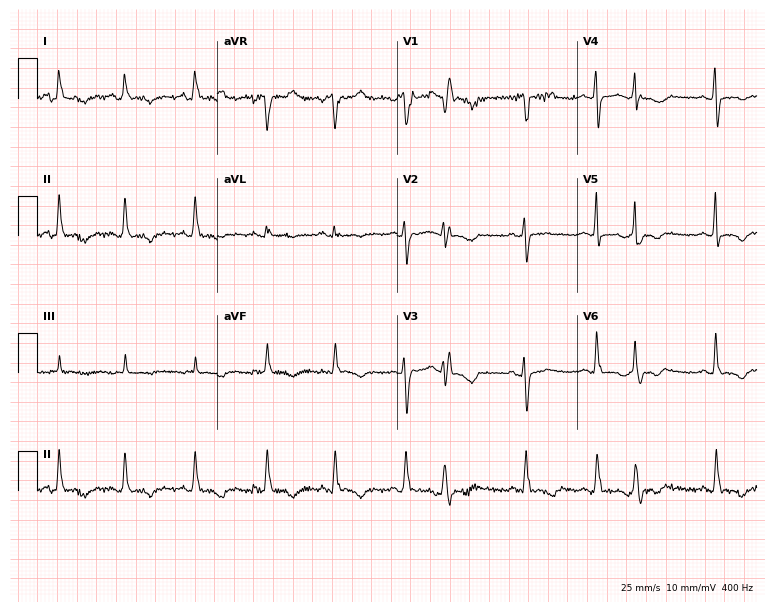
Electrocardiogram (7.3-second recording at 400 Hz), a woman, 50 years old. Of the six screened findings (first-degree AV block, right bundle branch block, left bundle branch block, sinus bradycardia, atrial fibrillation, sinus tachycardia), none is recorded.